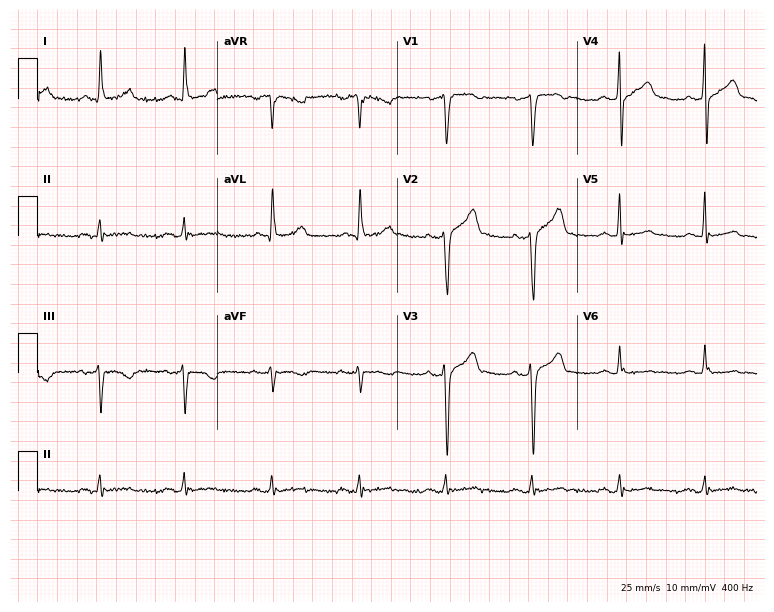
12-lead ECG (7.3-second recording at 400 Hz) from a 44-year-old man. Screened for six findings — first-degree AV block, right bundle branch block, left bundle branch block, sinus bradycardia, atrial fibrillation, sinus tachycardia — none is recorded.